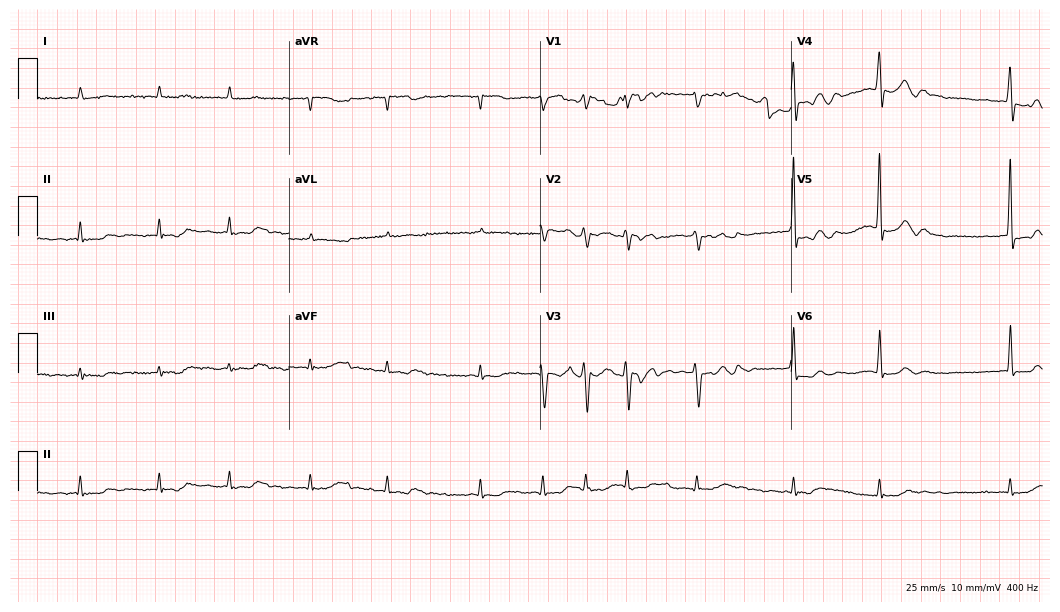
12-lead ECG from an 82-year-old man. Findings include atrial fibrillation.